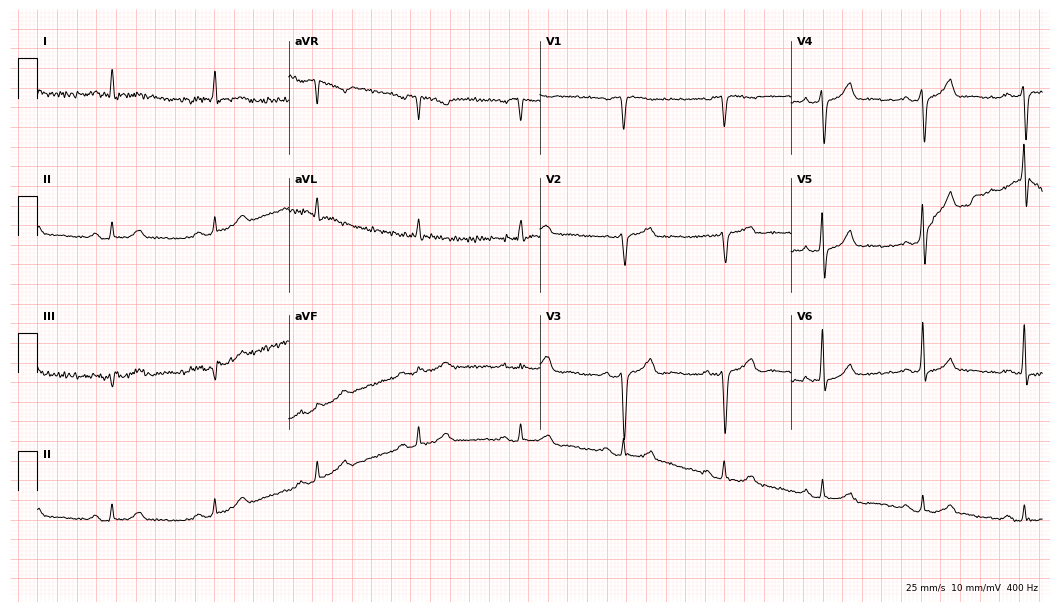
Resting 12-lead electrocardiogram. Patient: a male, 77 years old. None of these six findings is recorded: first-degree AV block, right bundle branch block, left bundle branch block, sinus bradycardia, atrial fibrillation, sinus tachycardia.